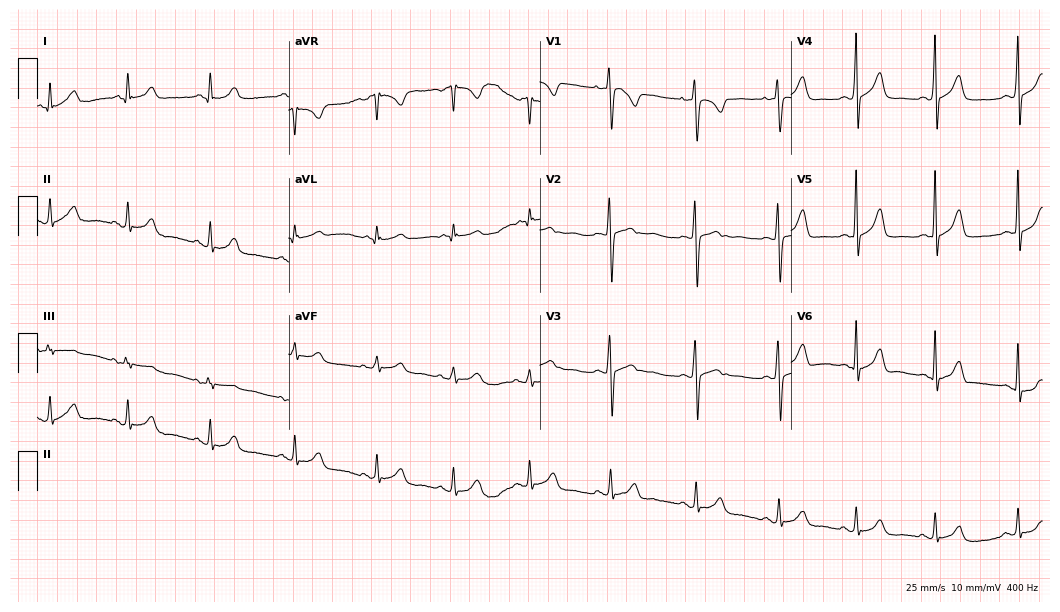
Resting 12-lead electrocardiogram. Patient: a female, 24 years old. None of these six findings is recorded: first-degree AV block, right bundle branch block, left bundle branch block, sinus bradycardia, atrial fibrillation, sinus tachycardia.